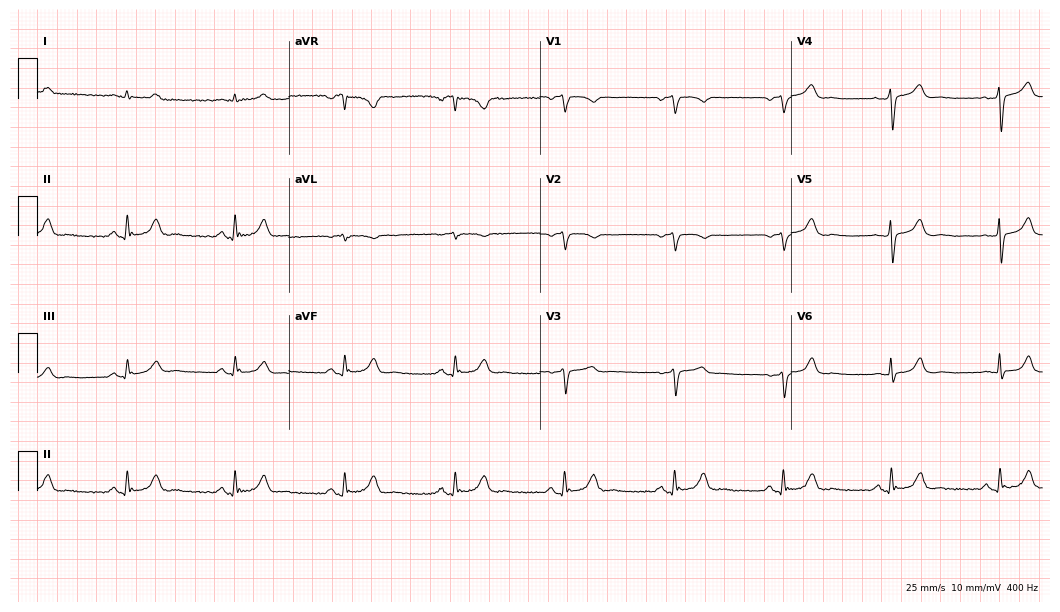
Resting 12-lead electrocardiogram (10.2-second recording at 400 Hz). Patient: a man, 79 years old. None of these six findings is recorded: first-degree AV block, right bundle branch block (RBBB), left bundle branch block (LBBB), sinus bradycardia, atrial fibrillation (AF), sinus tachycardia.